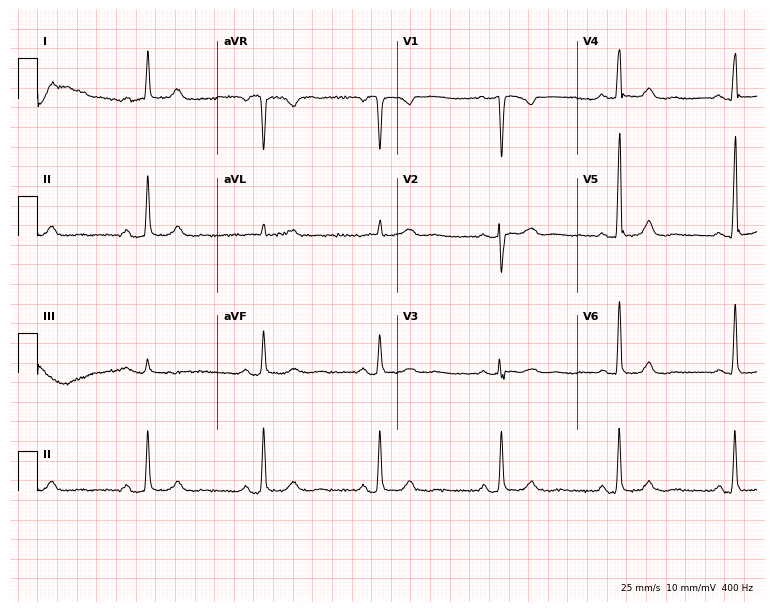
12-lead ECG (7.3-second recording at 400 Hz) from a female, 60 years old. Screened for six findings — first-degree AV block, right bundle branch block, left bundle branch block, sinus bradycardia, atrial fibrillation, sinus tachycardia — none is recorded.